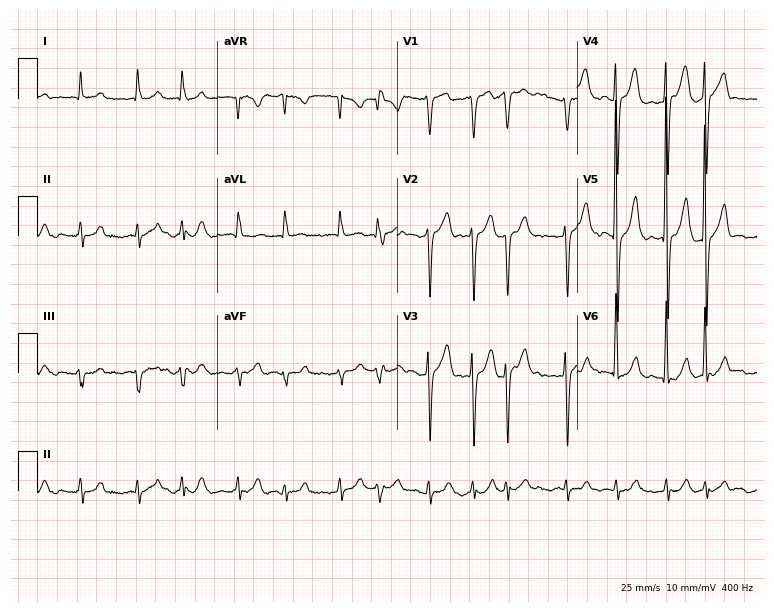
Electrocardiogram (7.3-second recording at 400 Hz), a male patient, 76 years old. Interpretation includes atrial fibrillation (AF).